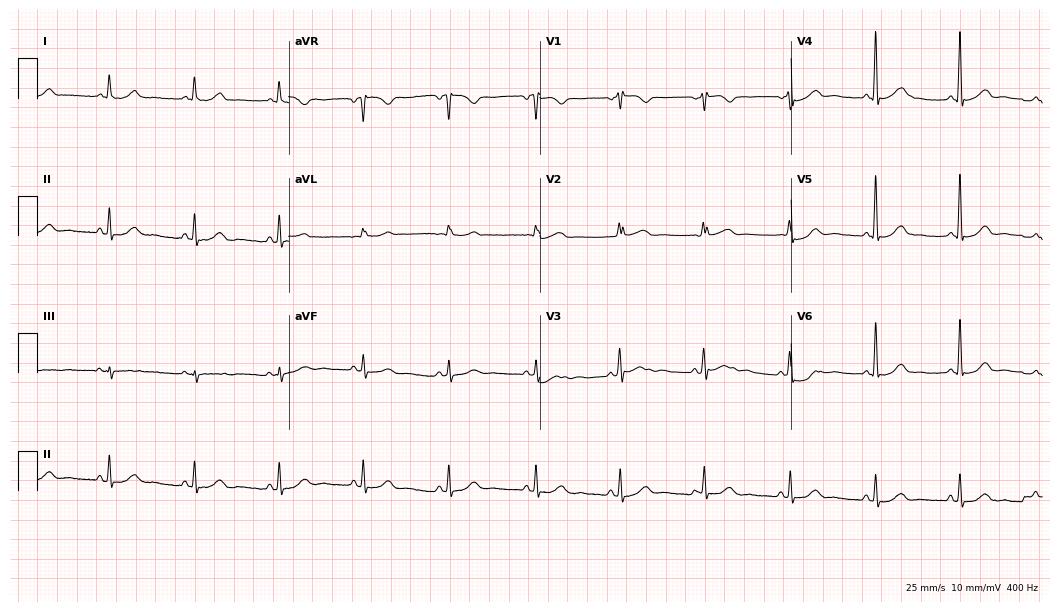
Resting 12-lead electrocardiogram (10.2-second recording at 400 Hz). Patient: a female, 58 years old. None of these six findings is recorded: first-degree AV block, right bundle branch block, left bundle branch block, sinus bradycardia, atrial fibrillation, sinus tachycardia. Findings outside these six are not listed.